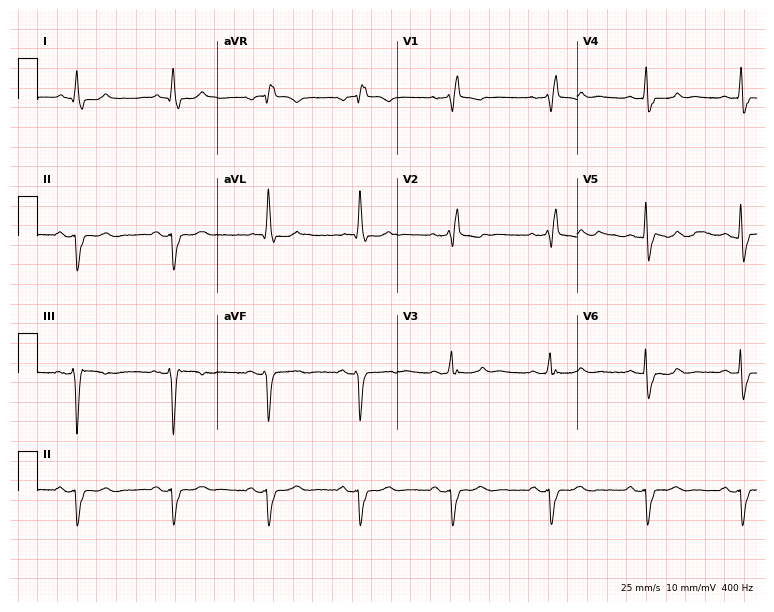
12-lead ECG from a 72-year-old male (7.3-second recording at 400 Hz). Shows right bundle branch block (RBBB).